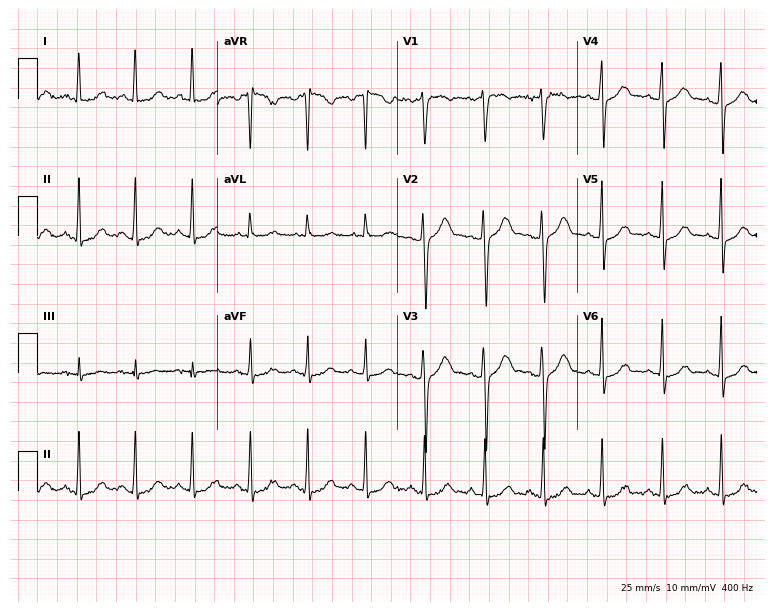
Resting 12-lead electrocardiogram (7.3-second recording at 400 Hz). Patient: a 37-year-old woman. The tracing shows sinus tachycardia (a sinus rate of 100 beats per minute or more).